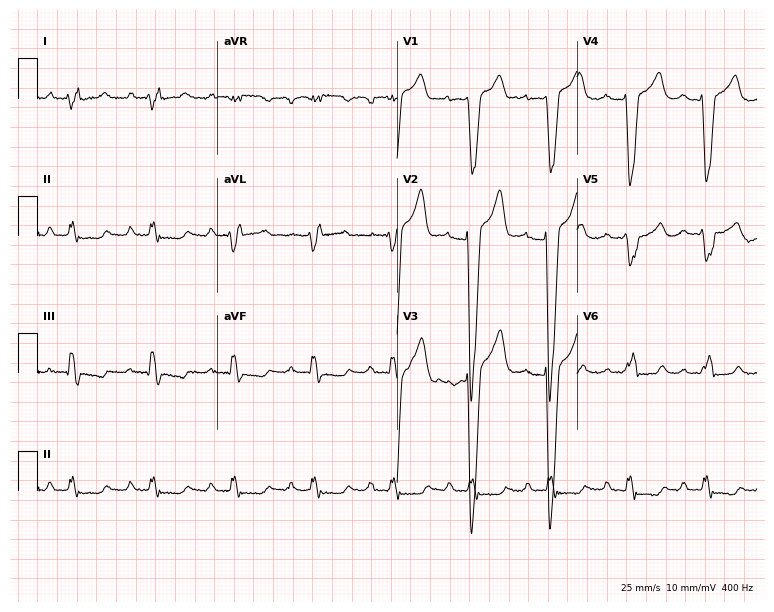
12-lead ECG from a male patient, 67 years old (7.3-second recording at 400 Hz). Shows first-degree AV block, left bundle branch block.